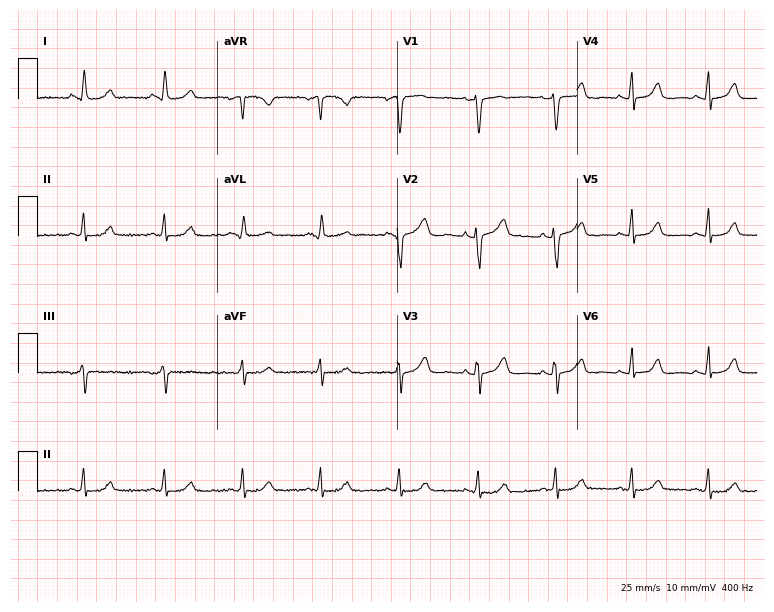
12-lead ECG from a 42-year-old female. Screened for six findings — first-degree AV block, right bundle branch block, left bundle branch block, sinus bradycardia, atrial fibrillation, sinus tachycardia — none is recorded.